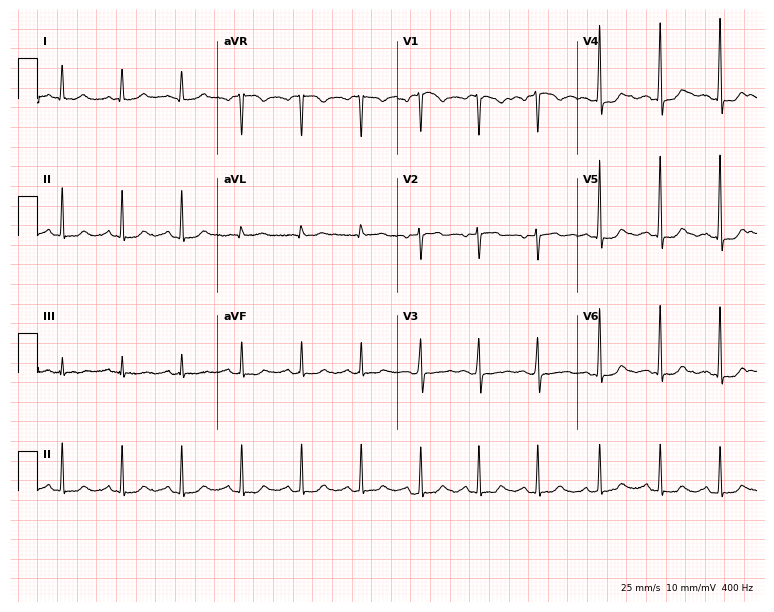
12-lead ECG from a female patient, 41 years old. No first-degree AV block, right bundle branch block, left bundle branch block, sinus bradycardia, atrial fibrillation or sinus tachycardia recorded for this tracing. Findings outside these six are not listed.